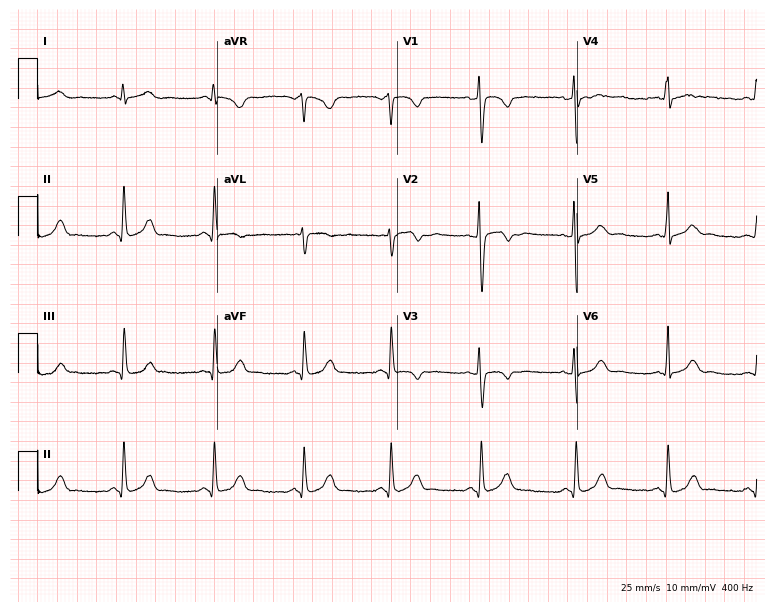
Standard 12-lead ECG recorded from a 32-year-old female (7.3-second recording at 400 Hz). None of these six findings is recorded: first-degree AV block, right bundle branch block, left bundle branch block, sinus bradycardia, atrial fibrillation, sinus tachycardia.